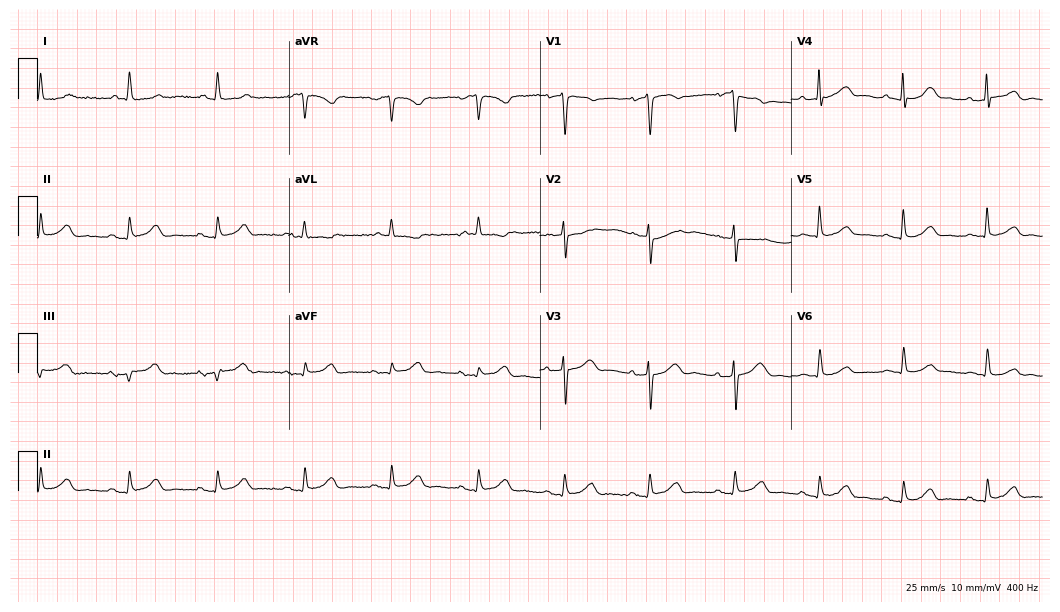
Electrocardiogram (10.2-second recording at 400 Hz), a 70-year-old female. Overall reading on record: normal ECG.